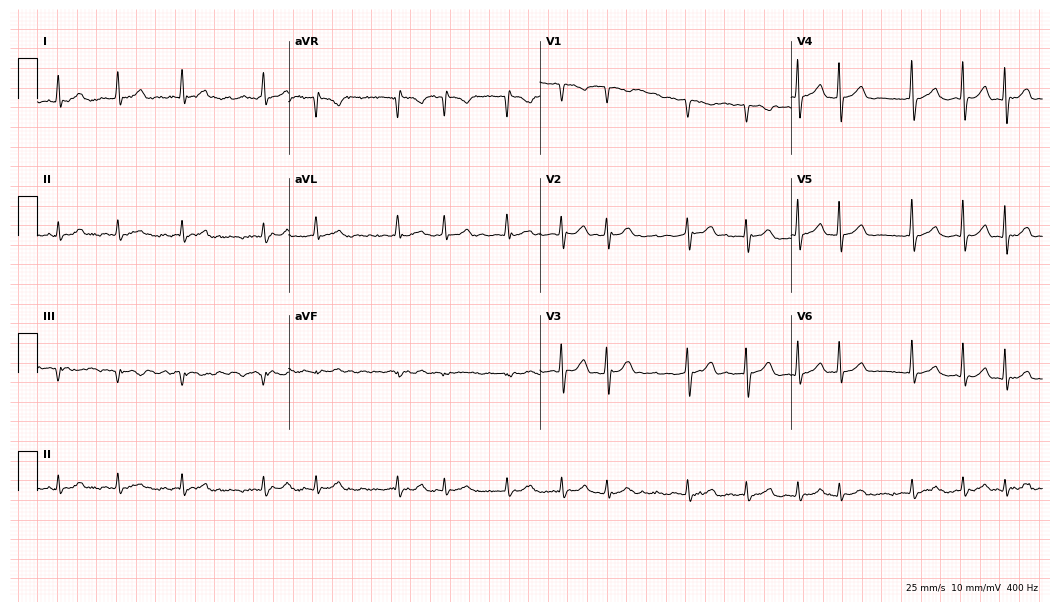
Electrocardiogram (10.2-second recording at 400 Hz), a female patient, 70 years old. Interpretation includes atrial fibrillation.